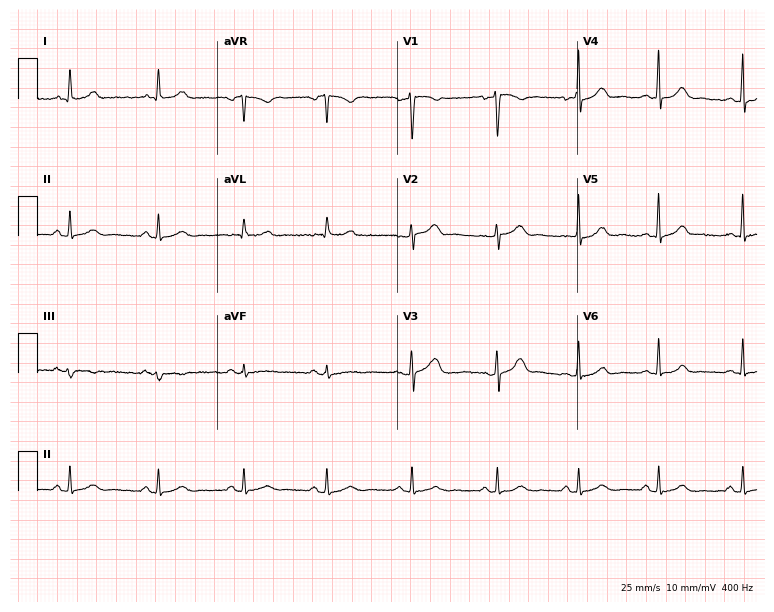
ECG — a 43-year-old female. Labelled as a normal ECG.